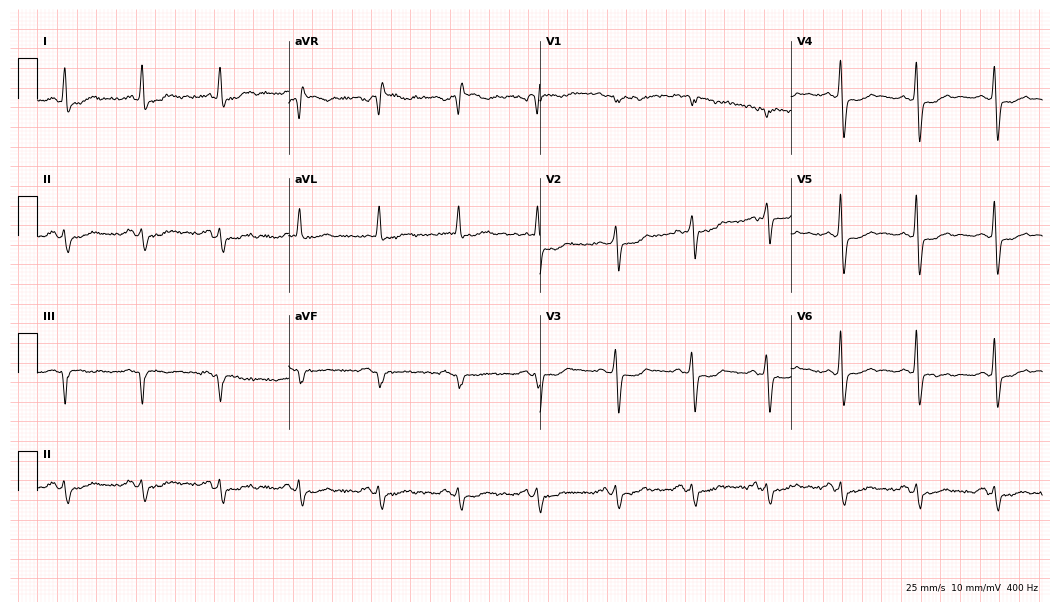
Resting 12-lead electrocardiogram. Patient: a 66-year-old female. None of these six findings is recorded: first-degree AV block, right bundle branch block, left bundle branch block, sinus bradycardia, atrial fibrillation, sinus tachycardia. Only these six findings were labelled.